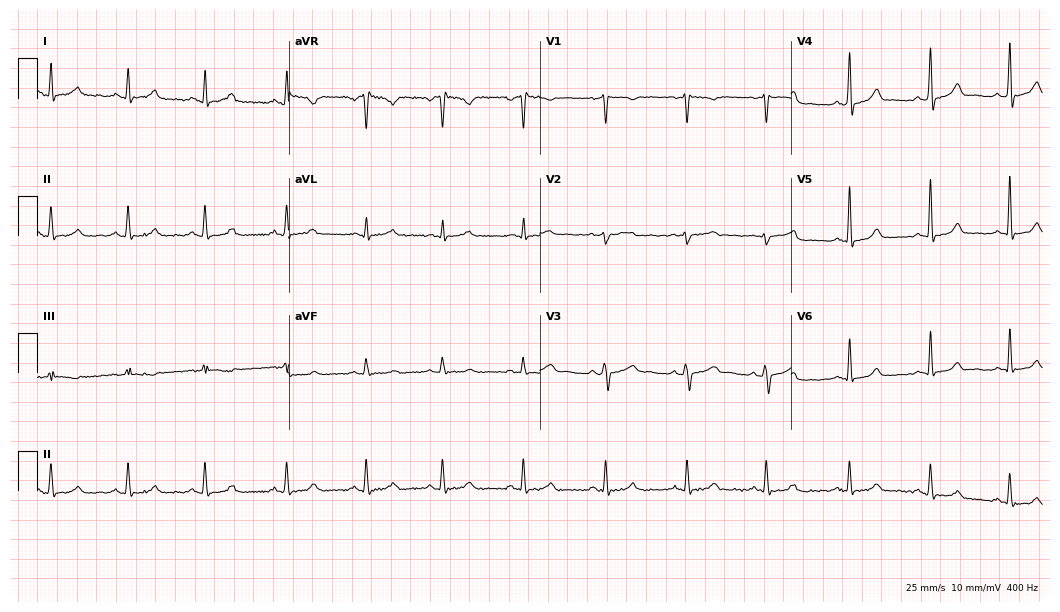
Electrocardiogram, a female patient, 37 years old. Overall reading on record: normal ECG.